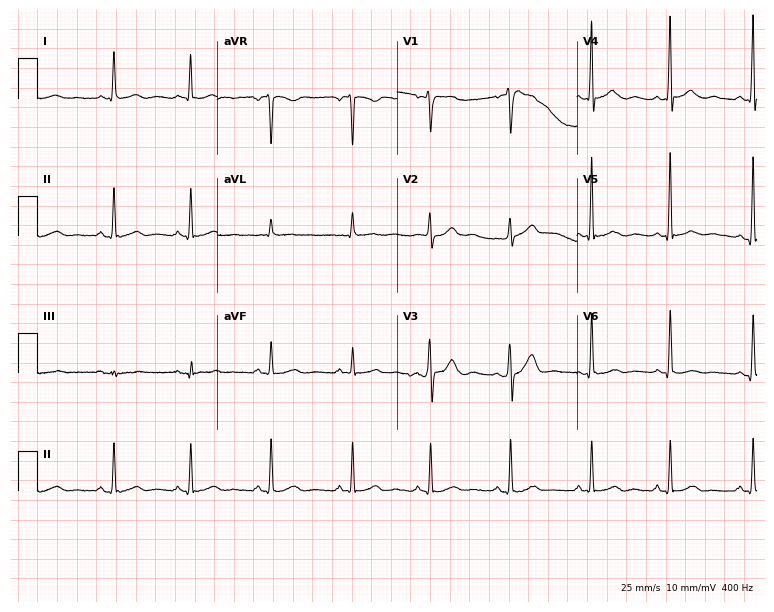
Resting 12-lead electrocardiogram (7.3-second recording at 400 Hz). Patient: a man, 47 years old. None of these six findings is recorded: first-degree AV block, right bundle branch block, left bundle branch block, sinus bradycardia, atrial fibrillation, sinus tachycardia.